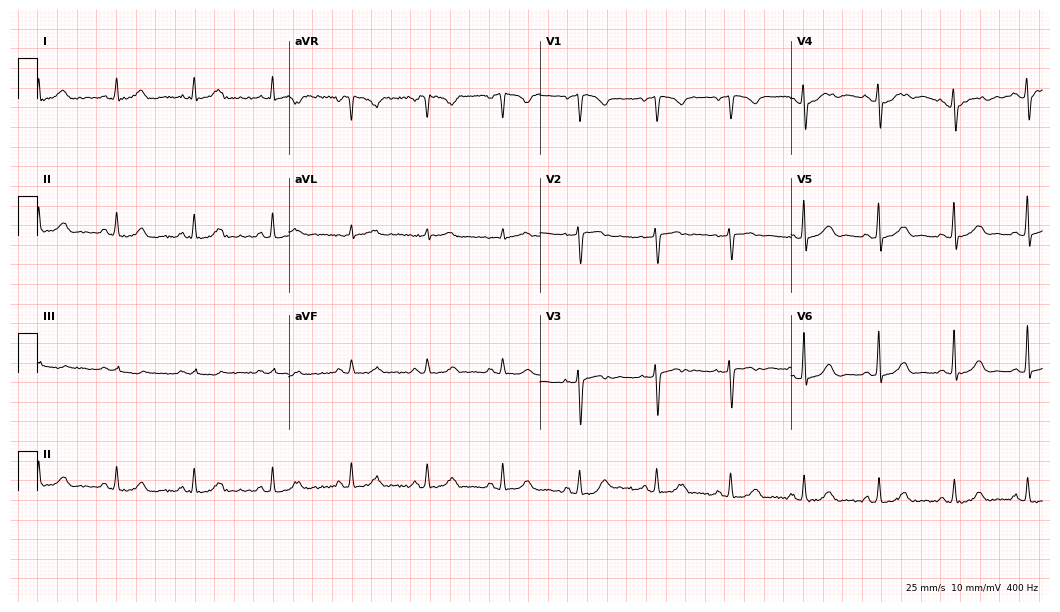
Standard 12-lead ECG recorded from a female, 49 years old. Read as a normal ECG.